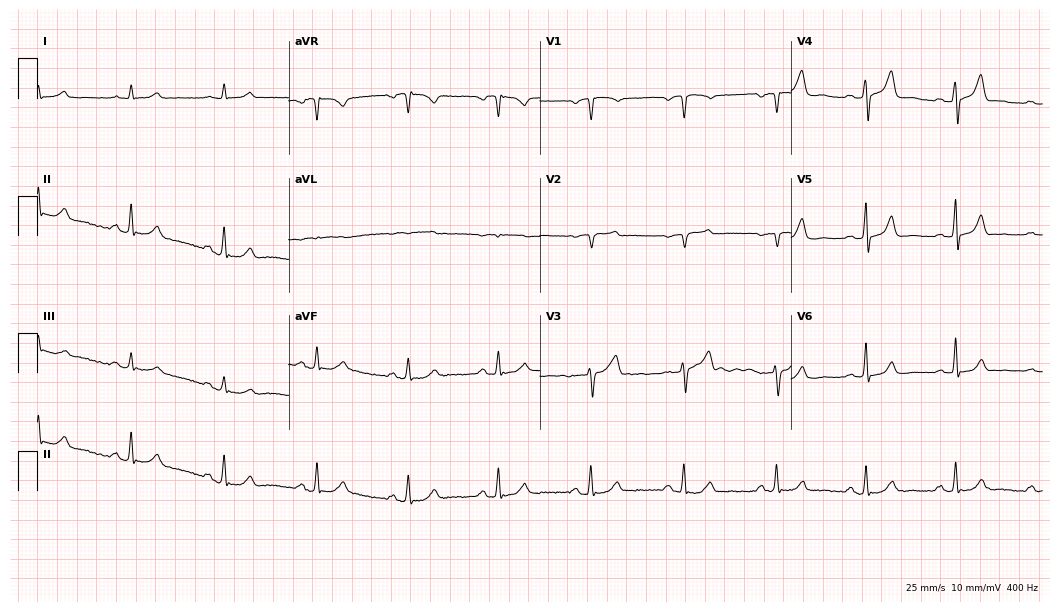
Electrocardiogram (10.2-second recording at 400 Hz), a male, 51 years old. Overall reading on record: normal ECG.